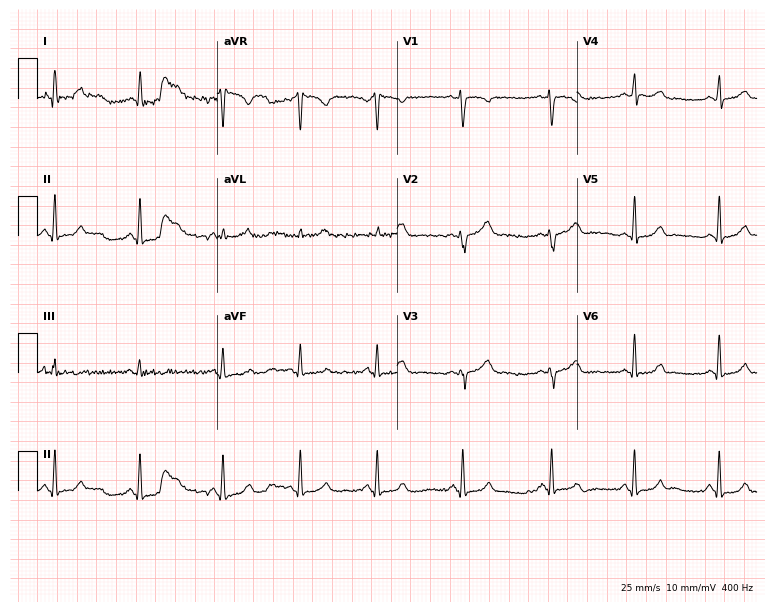
12-lead ECG from a 28-year-old female patient (7.3-second recording at 400 Hz). Recorded interpretation: within normal limits.